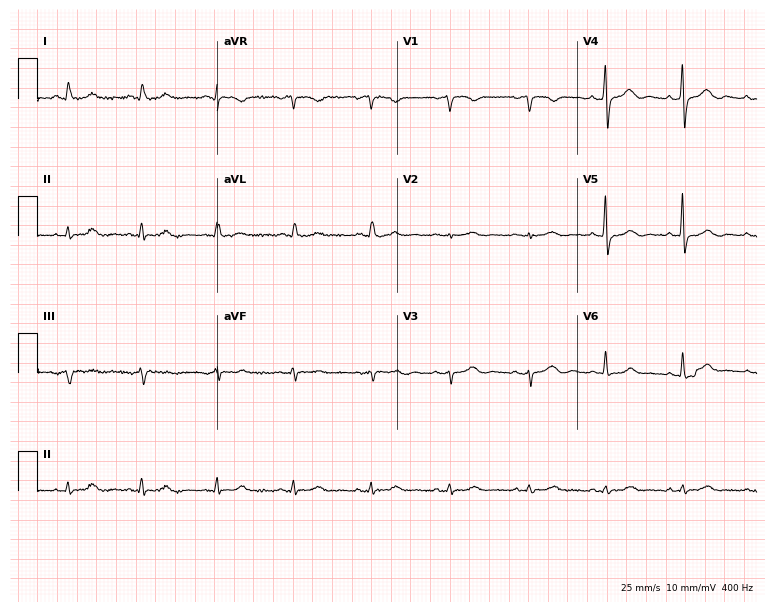
12-lead ECG from a 65-year-old female patient (7.3-second recording at 400 Hz). Recorded interpretation: within normal limits.